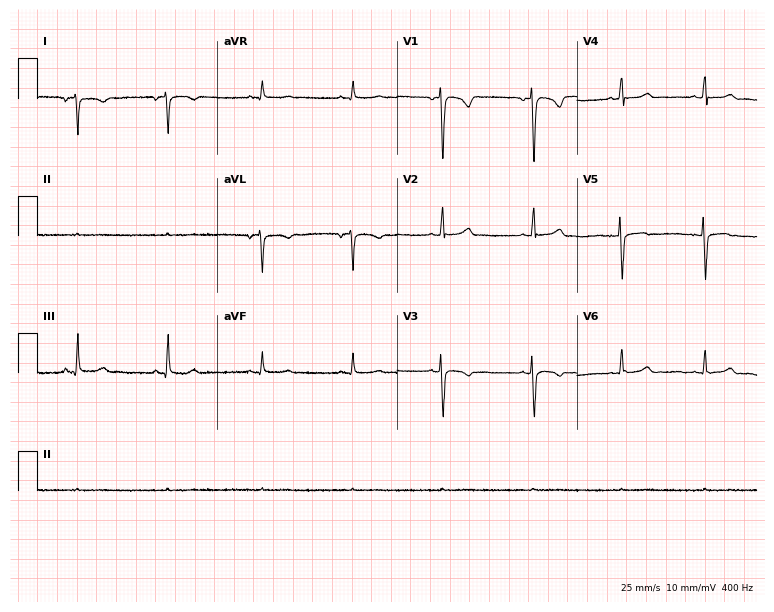
12-lead ECG from a 19-year-old female patient. Screened for six findings — first-degree AV block, right bundle branch block, left bundle branch block, sinus bradycardia, atrial fibrillation, sinus tachycardia — none is recorded.